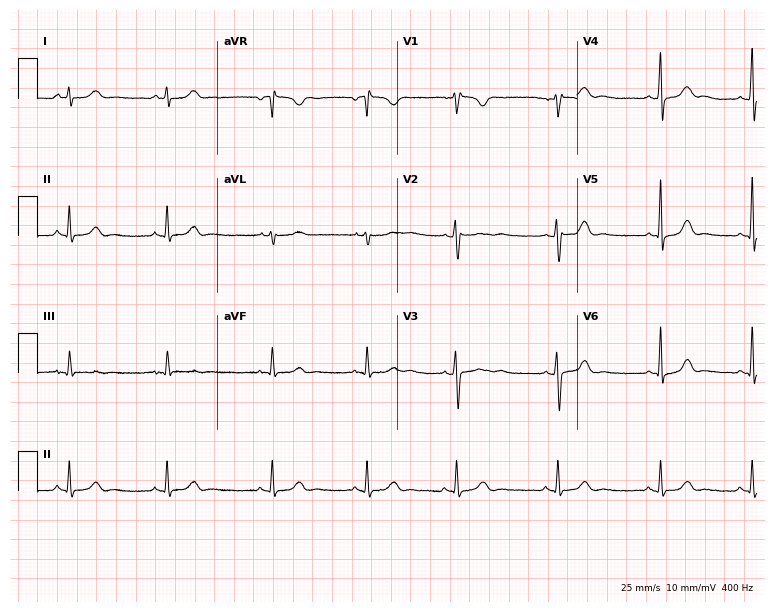
12-lead ECG (7.3-second recording at 400 Hz) from a female, 27 years old. Screened for six findings — first-degree AV block, right bundle branch block, left bundle branch block, sinus bradycardia, atrial fibrillation, sinus tachycardia — none is recorded.